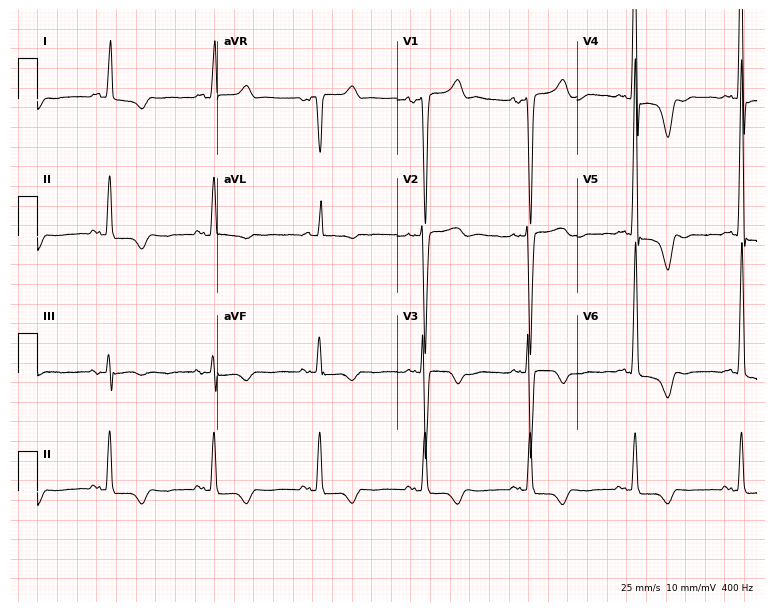
12-lead ECG from a 66-year-old male. Screened for six findings — first-degree AV block, right bundle branch block, left bundle branch block, sinus bradycardia, atrial fibrillation, sinus tachycardia — none is recorded. Only these six findings were labelled.